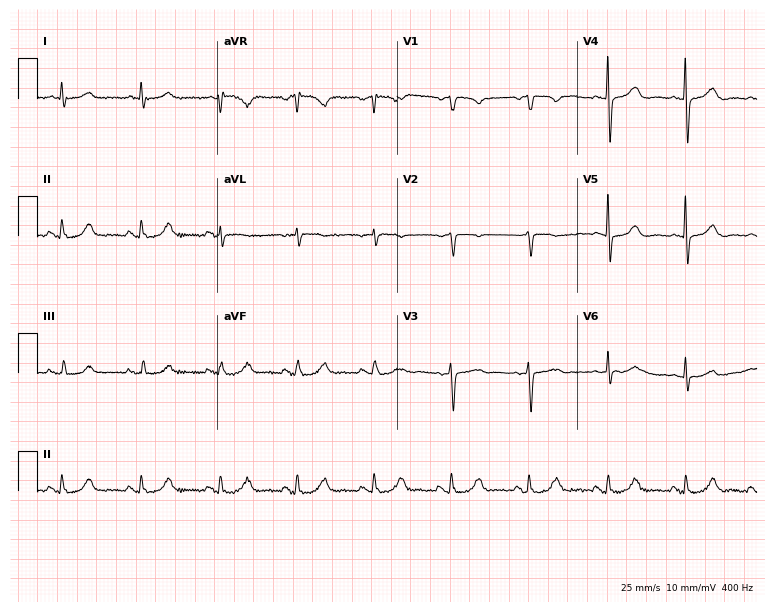
ECG — a 79-year-old woman. Screened for six findings — first-degree AV block, right bundle branch block, left bundle branch block, sinus bradycardia, atrial fibrillation, sinus tachycardia — none is recorded. Findings outside these six are not listed.